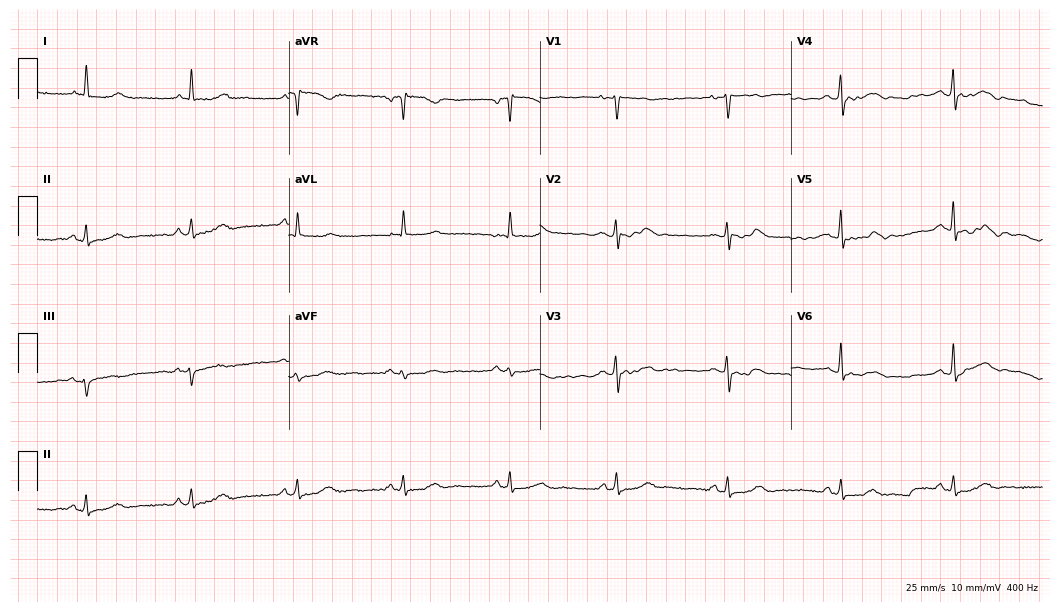
12-lead ECG from a 67-year-old female patient (10.2-second recording at 400 Hz). Recorded interpretation: within normal limits.